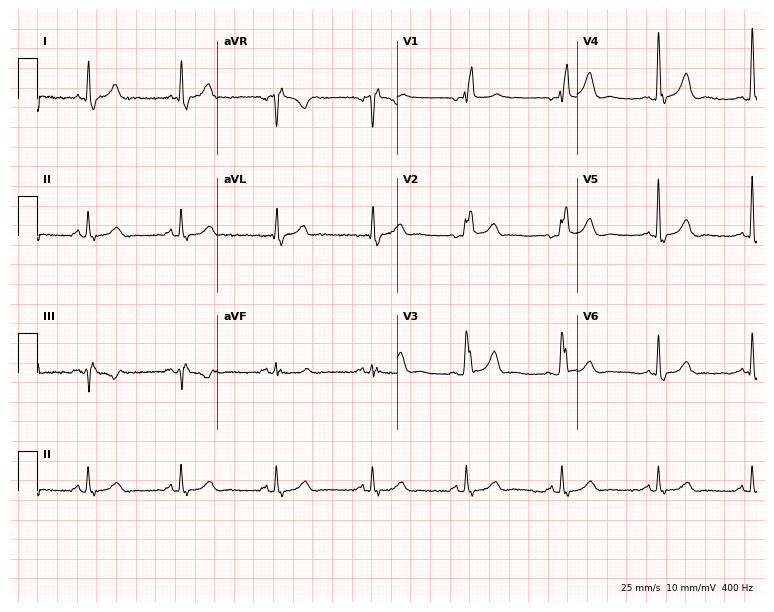
Resting 12-lead electrocardiogram (7.3-second recording at 400 Hz). Patient: a female, 80 years old. The tracing shows right bundle branch block (RBBB).